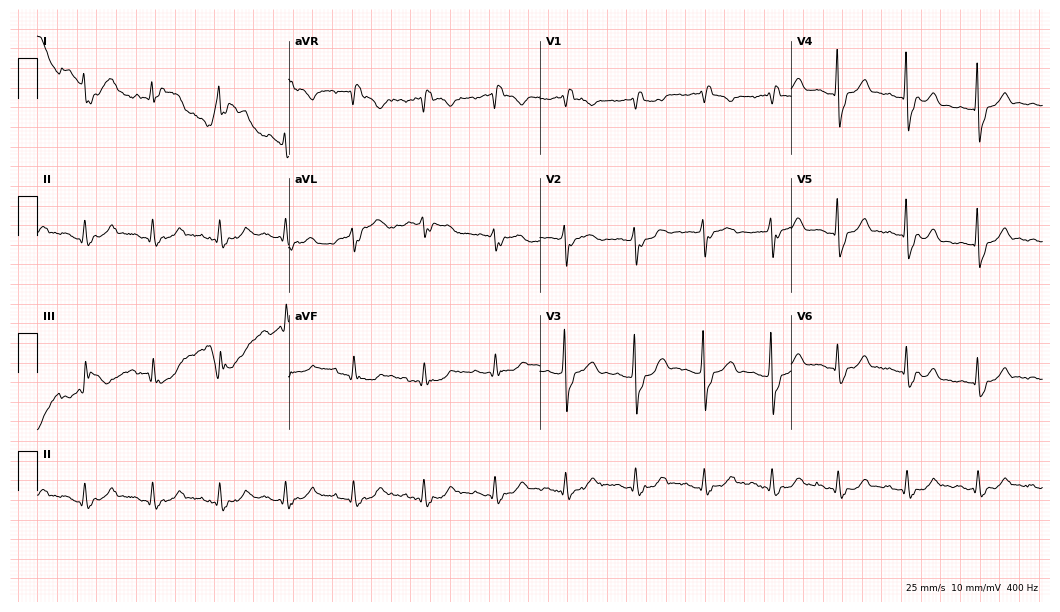
ECG (10.2-second recording at 400 Hz) — an 85-year-old male patient. Findings include right bundle branch block.